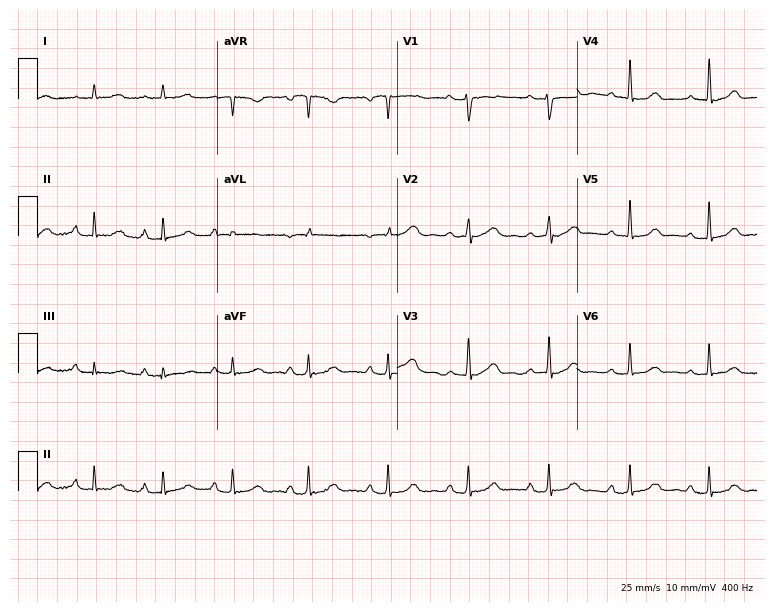
Resting 12-lead electrocardiogram. Patient: a female, 47 years old. Read as a normal ECG.